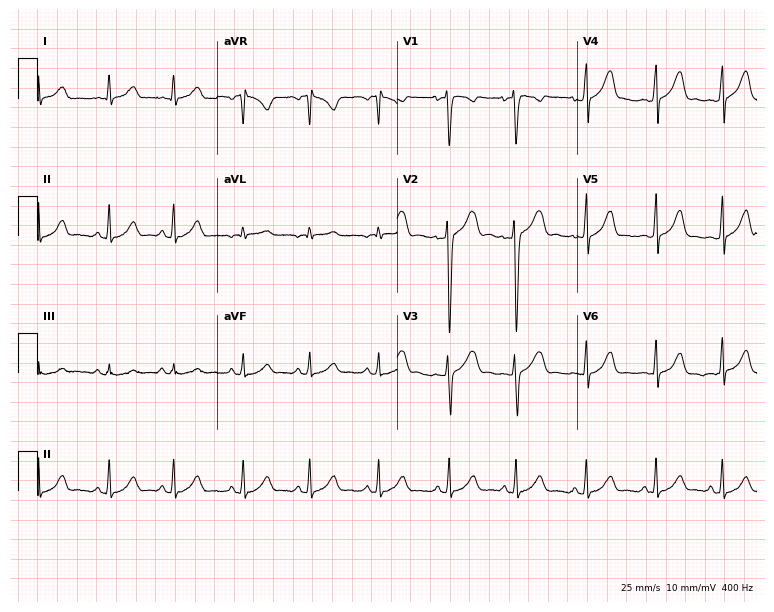
Electrocardiogram (7.3-second recording at 400 Hz), a 17-year-old female. Of the six screened findings (first-degree AV block, right bundle branch block, left bundle branch block, sinus bradycardia, atrial fibrillation, sinus tachycardia), none is recorded.